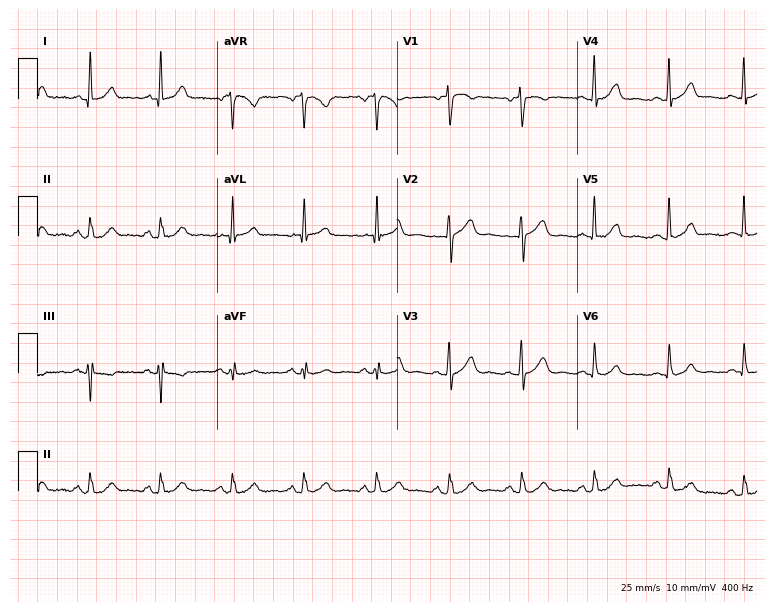
Resting 12-lead electrocardiogram (7.3-second recording at 400 Hz). Patient: a female, 45 years old. Read as a normal ECG.